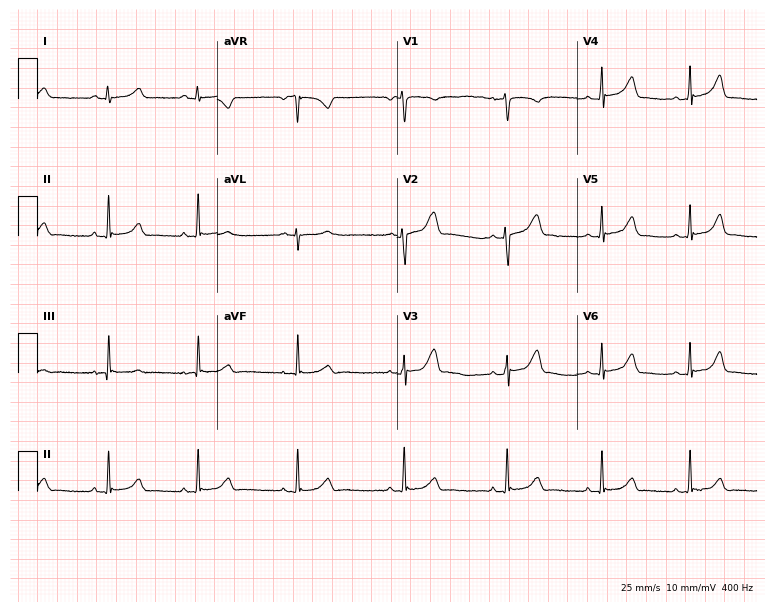
Resting 12-lead electrocardiogram. Patient: an 18-year-old woman. Read as a normal ECG.